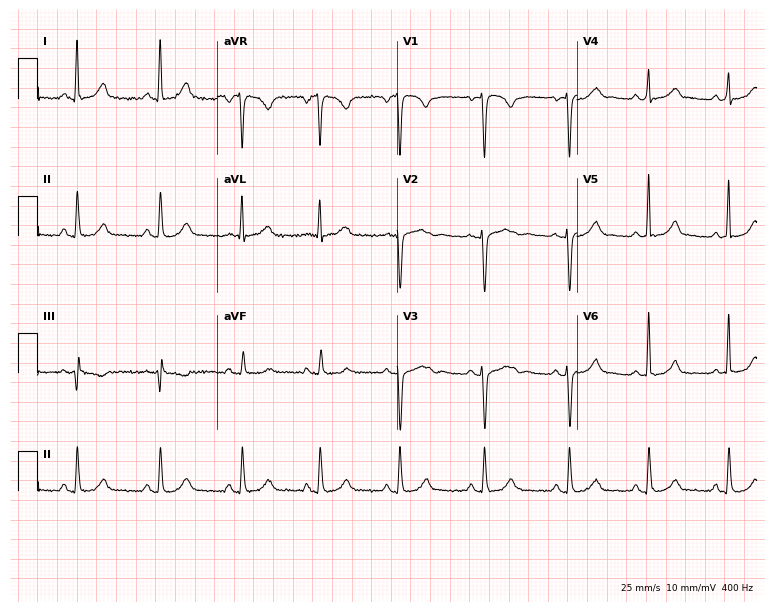
12-lead ECG from a female patient, 41 years old (7.3-second recording at 400 Hz). Recorded interpretation: within normal limits.